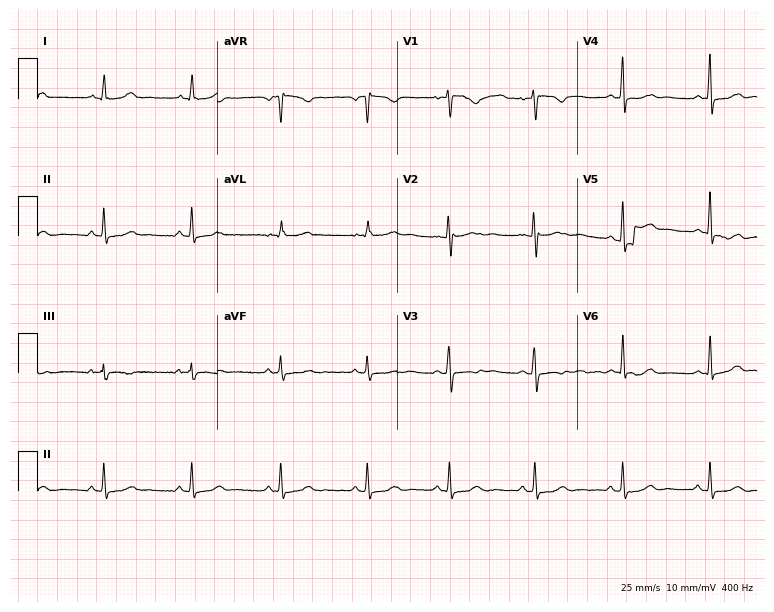
Standard 12-lead ECG recorded from a female patient, 41 years old. None of these six findings is recorded: first-degree AV block, right bundle branch block, left bundle branch block, sinus bradycardia, atrial fibrillation, sinus tachycardia. Other findings, if any, are not listed.